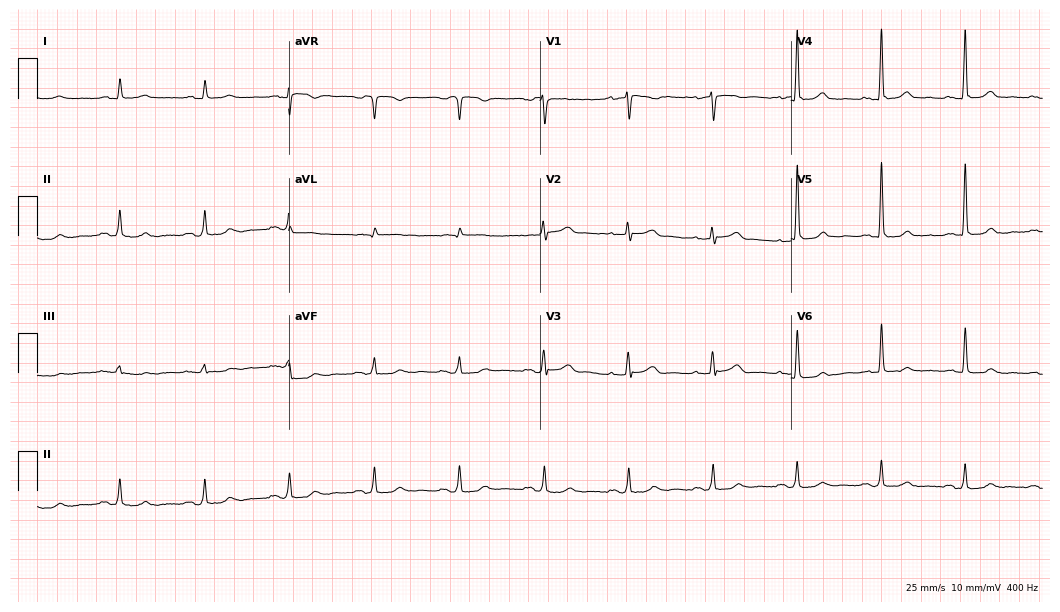
ECG — an 80-year-old man. Labelled as a normal ECG.